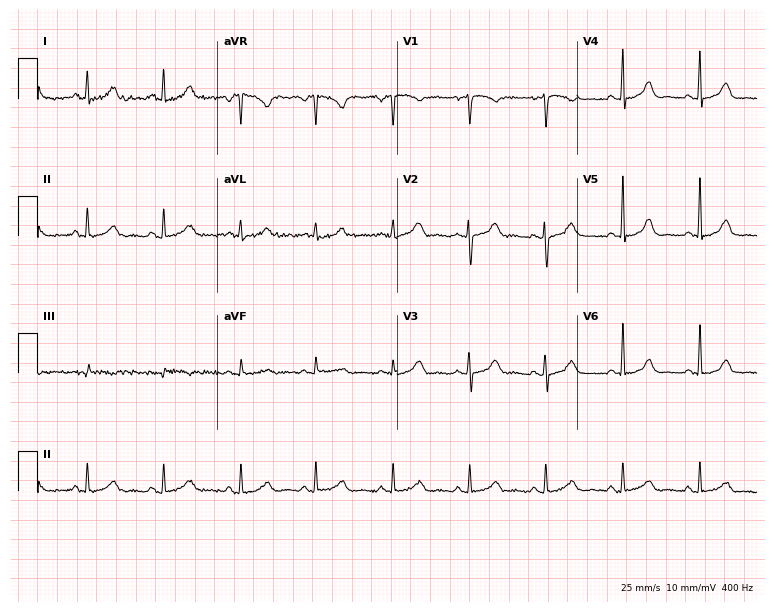
12-lead ECG (7.3-second recording at 400 Hz) from a woman, 41 years old. Labelled as a normal ECG.